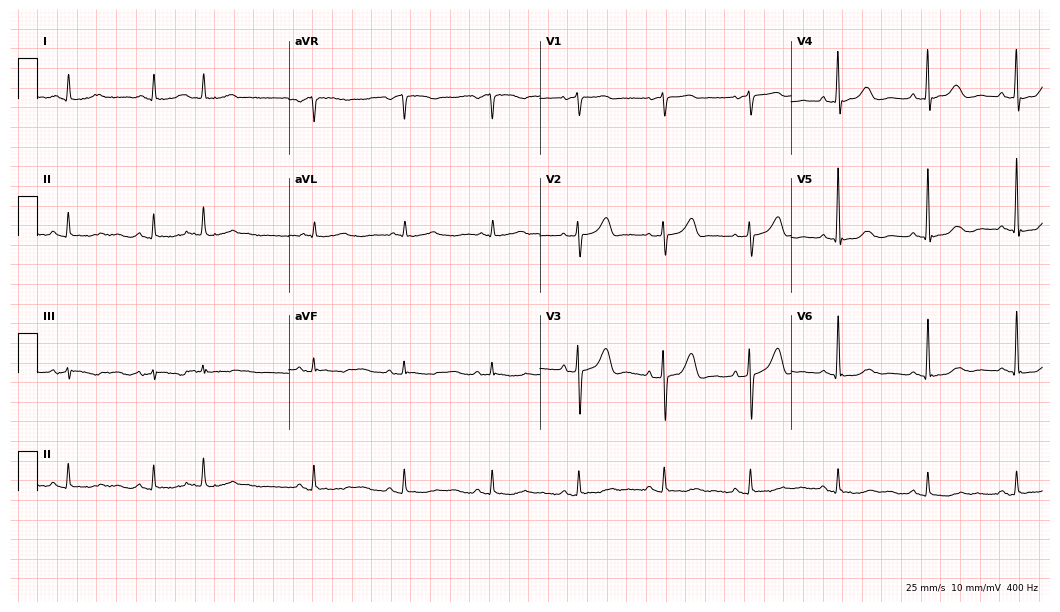
12-lead ECG from an 81-year-old female patient (10.2-second recording at 400 Hz). No first-degree AV block, right bundle branch block (RBBB), left bundle branch block (LBBB), sinus bradycardia, atrial fibrillation (AF) or sinus tachycardia recorded for this tracing. Findings outside these six are not listed.